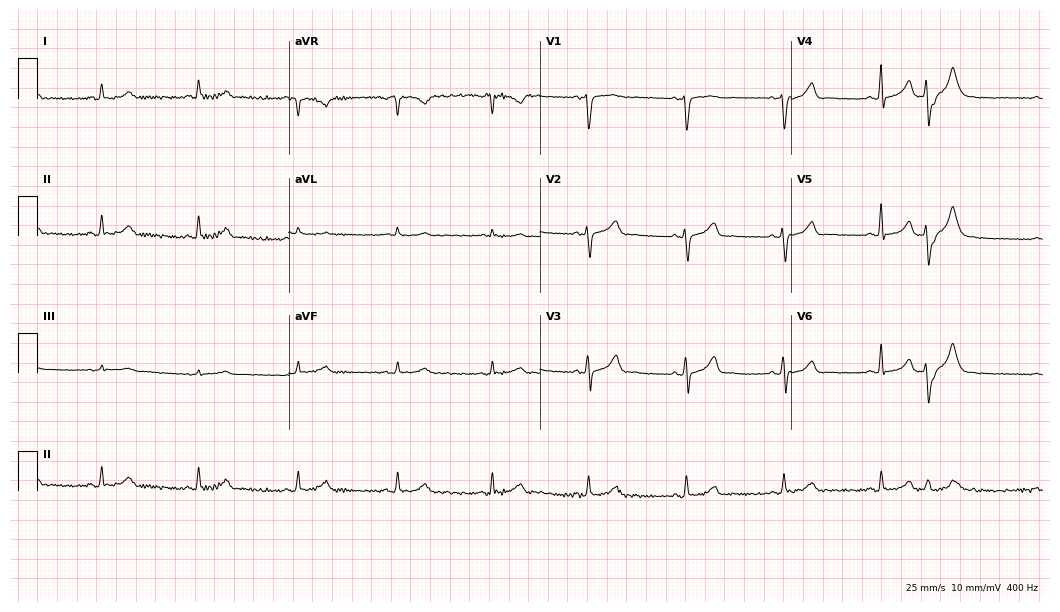
12-lead ECG from a 43-year-old woman (10.2-second recording at 400 Hz). Recorded interpretation: within normal limits.